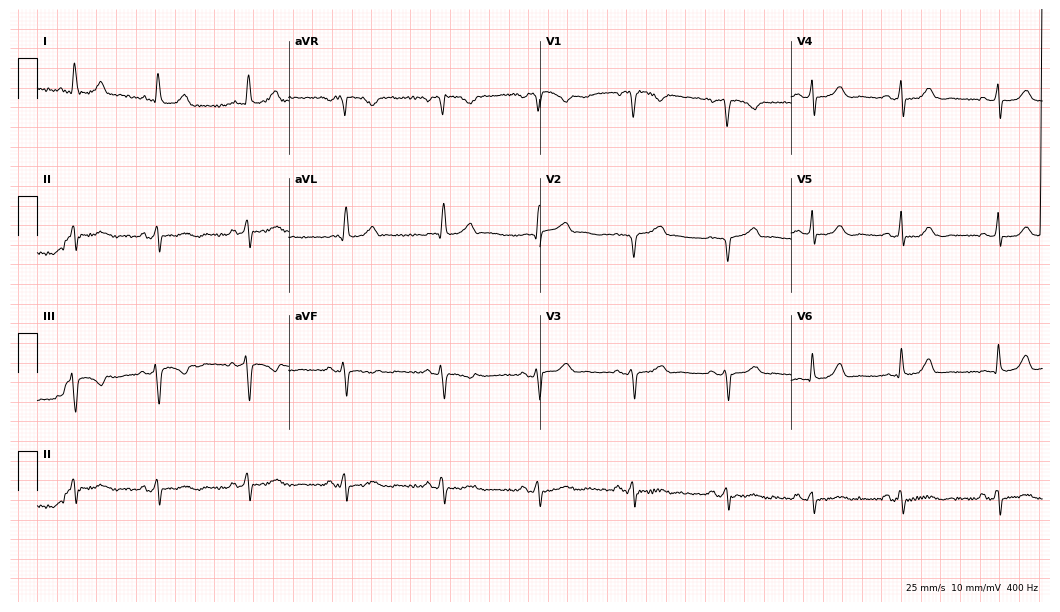
12-lead ECG from a 44-year-old female (10.2-second recording at 400 Hz). No first-degree AV block, right bundle branch block (RBBB), left bundle branch block (LBBB), sinus bradycardia, atrial fibrillation (AF) or sinus tachycardia recorded for this tracing. Only these six findings were labelled.